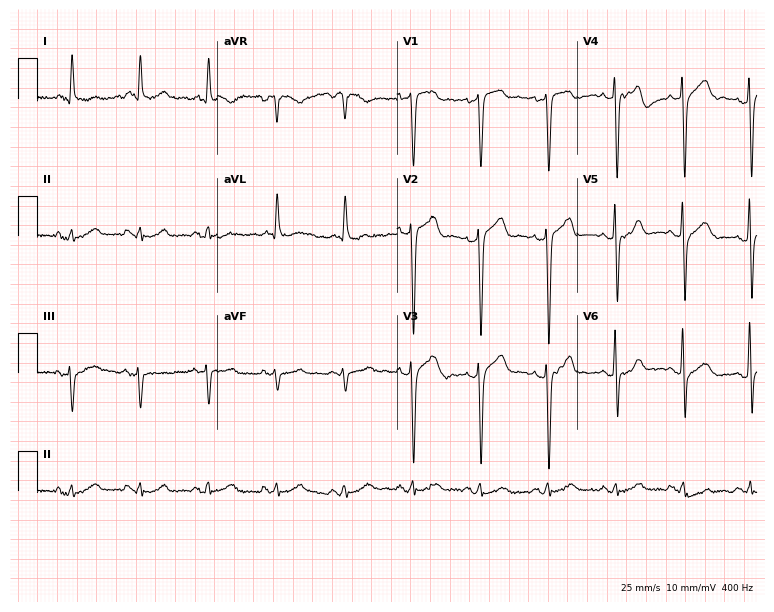
12-lead ECG from a 75-year-old man (7.3-second recording at 400 Hz). No first-degree AV block, right bundle branch block, left bundle branch block, sinus bradycardia, atrial fibrillation or sinus tachycardia recorded for this tracing. Other findings, if any, are not listed.